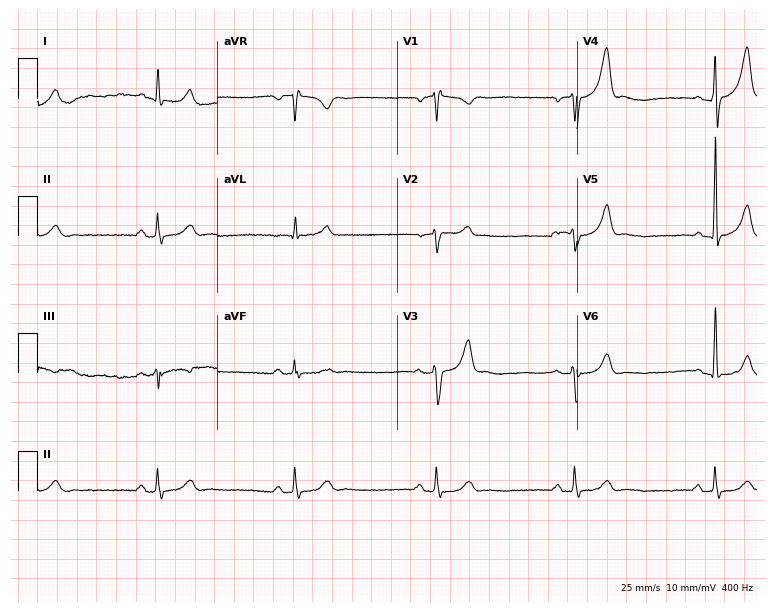
Standard 12-lead ECG recorded from a 60-year-old male (7.3-second recording at 400 Hz). The tracing shows sinus bradycardia (a sinus rate of 50 beats per minute or less).